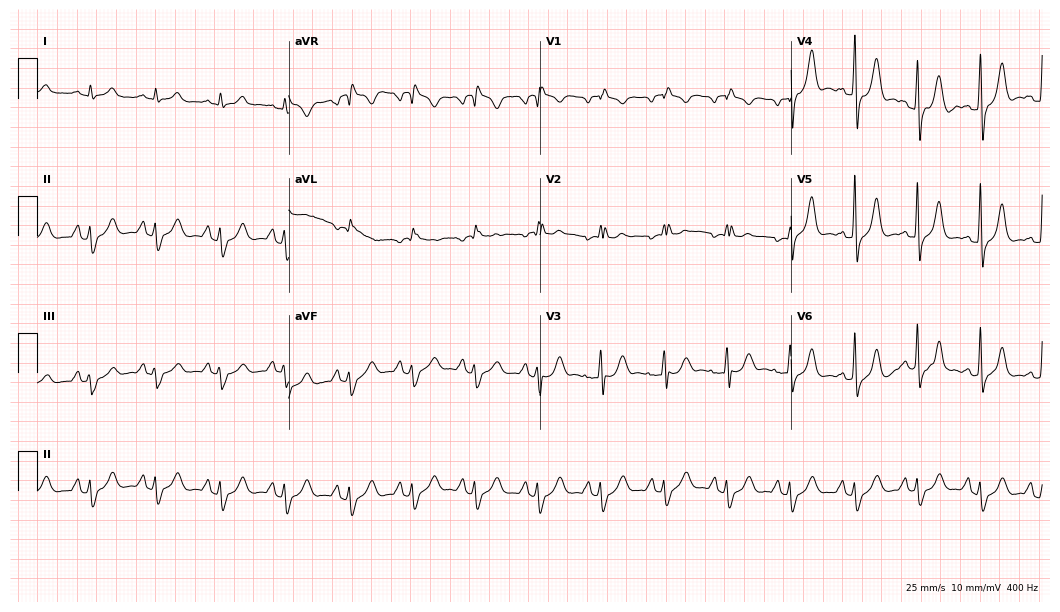
12-lead ECG from a male patient, 62 years old (10.2-second recording at 400 Hz). No first-degree AV block, right bundle branch block, left bundle branch block, sinus bradycardia, atrial fibrillation or sinus tachycardia recorded for this tracing.